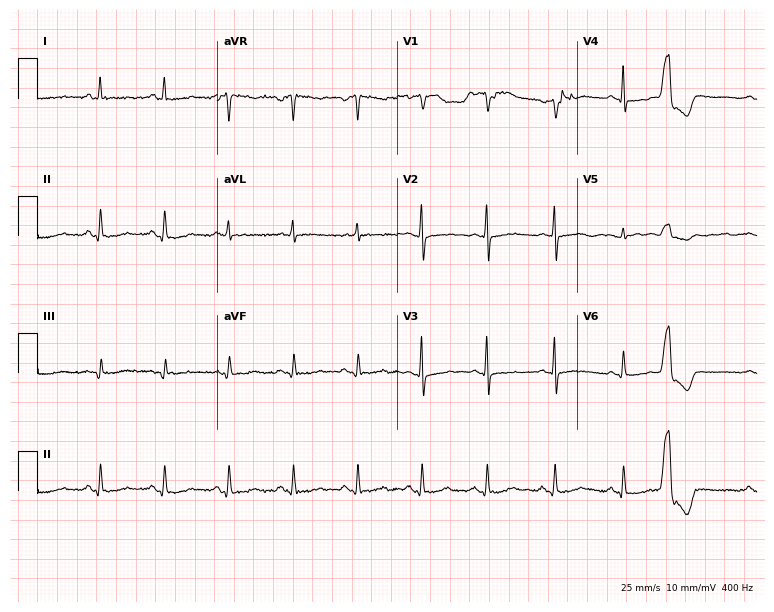
Resting 12-lead electrocardiogram. Patient: a woman, 47 years old. None of these six findings is recorded: first-degree AV block, right bundle branch block (RBBB), left bundle branch block (LBBB), sinus bradycardia, atrial fibrillation (AF), sinus tachycardia.